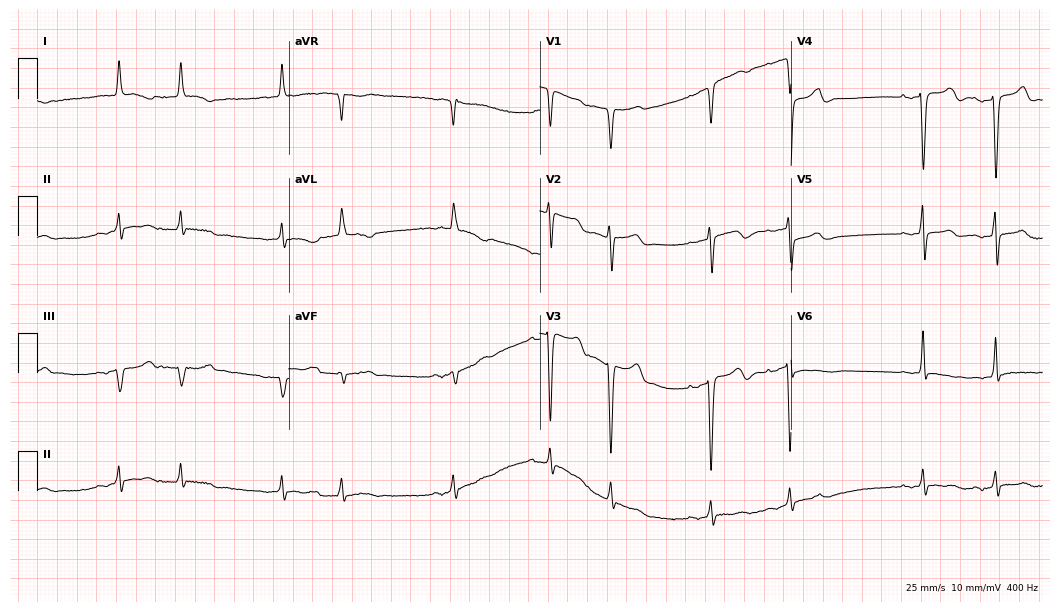
12-lead ECG from an 82-year-old female. Screened for six findings — first-degree AV block, right bundle branch block, left bundle branch block, sinus bradycardia, atrial fibrillation, sinus tachycardia — none is recorded.